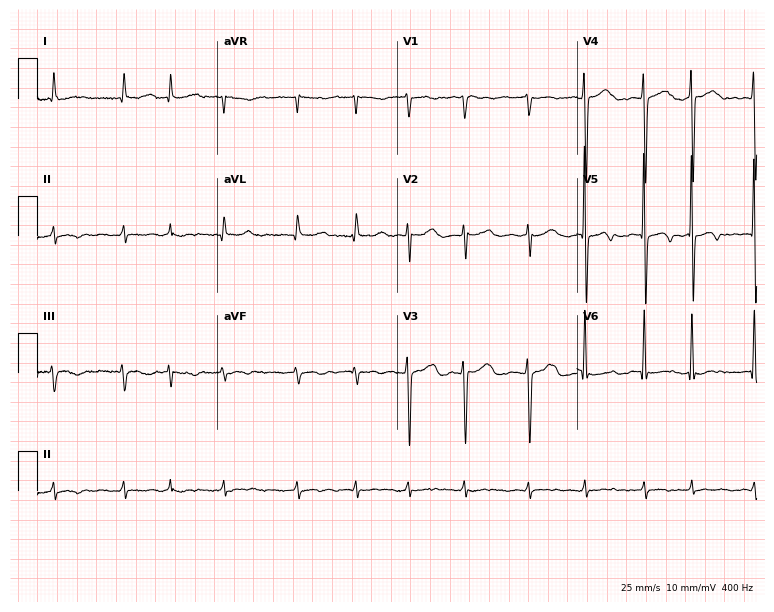
12-lead ECG from a female patient, 76 years old. Shows atrial fibrillation.